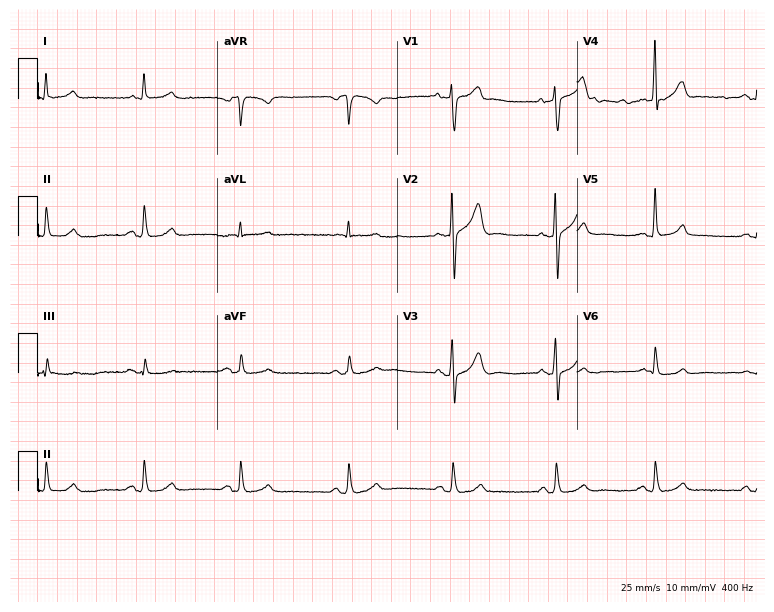
ECG (7.3-second recording at 400 Hz) — a male, 66 years old. Labelled as a normal ECG.